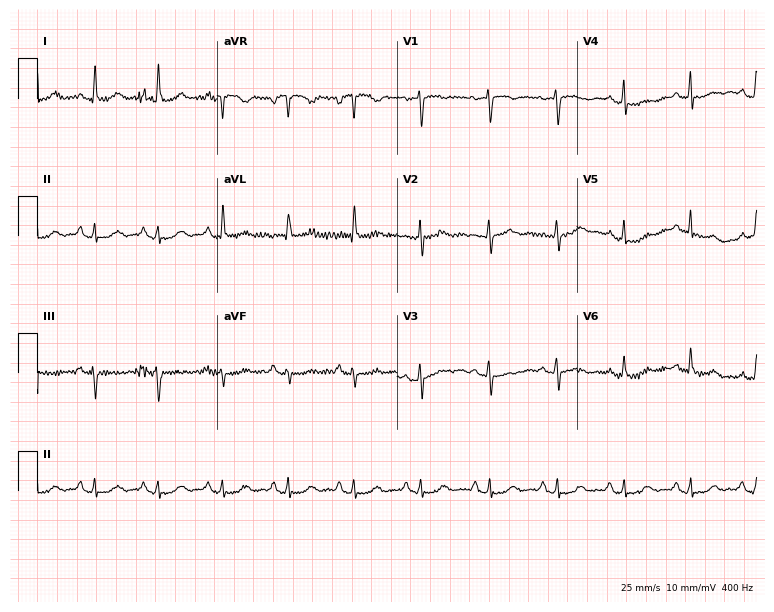
12-lead ECG from a 59-year-old woman (7.3-second recording at 400 Hz). No first-degree AV block, right bundle branch block, left bundle branch block, sinus bradycardia, atrial fibrillation or sinus tachycardia recorded for this tracing.